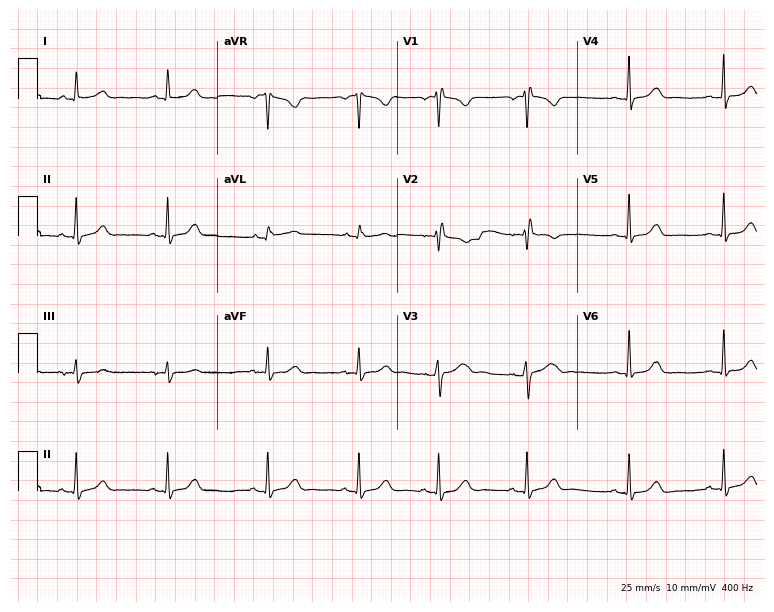
Electrocardiogram (7.3-second recording at 400 Hz), a female, 24 years old. Of the six screened findings (first-degree AV block, right bundle branch block (RBBB), left bundle branch block (LBBB), sinus bradycardia, atrial fibrillation (AF), sinus tachycardia), none is recorded.